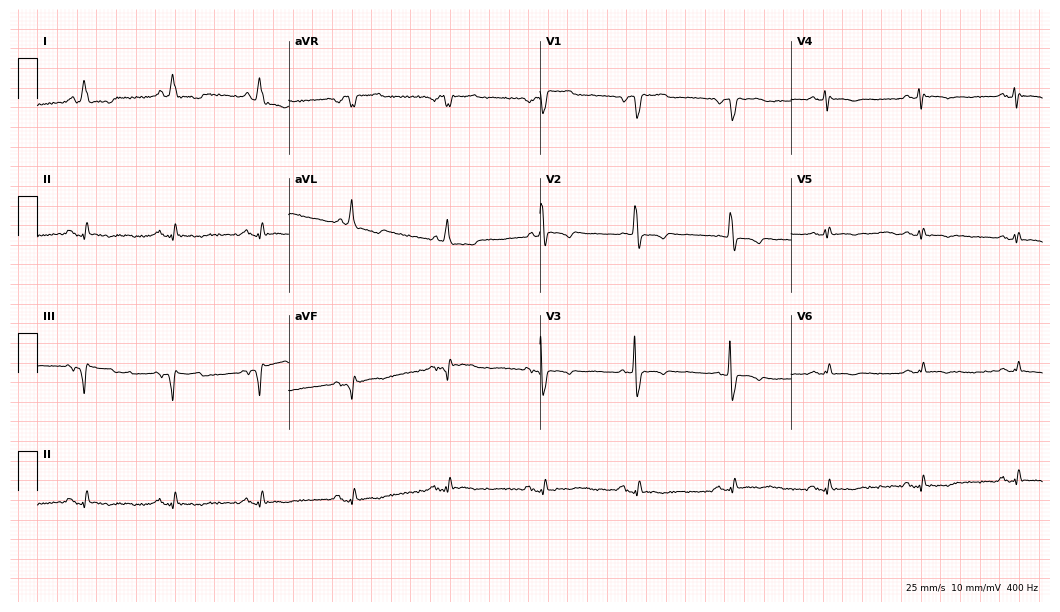
Resting 12-lead electrocardiogram (10.2-second recording at 400 Hz). Patient: an 80-year-old male. None of these six findings is recorded: first-degree AV block, right bundle branch block (RBBB), left bundle branch block (LBBB), sinus bradycardia, atrial fibrillation (AF), sinus tachycardia.